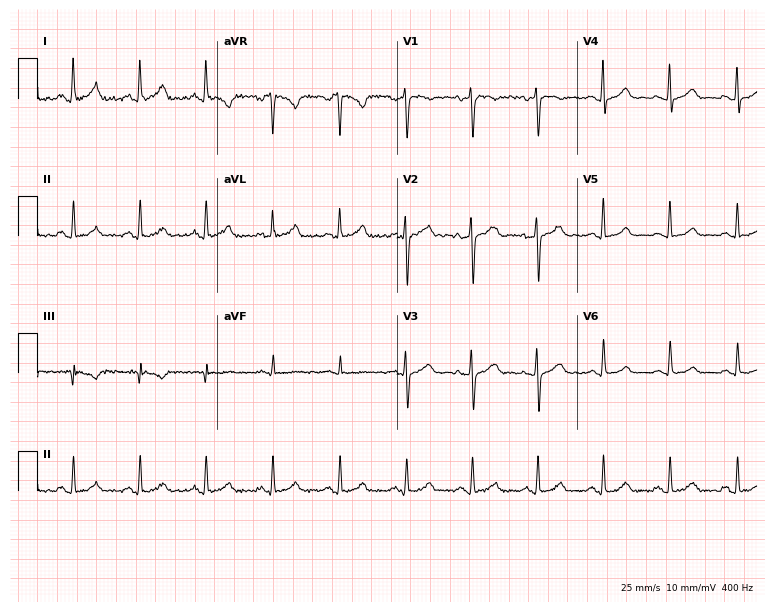
ECG — a female, 48 years old. Labelled as a normal ECG.